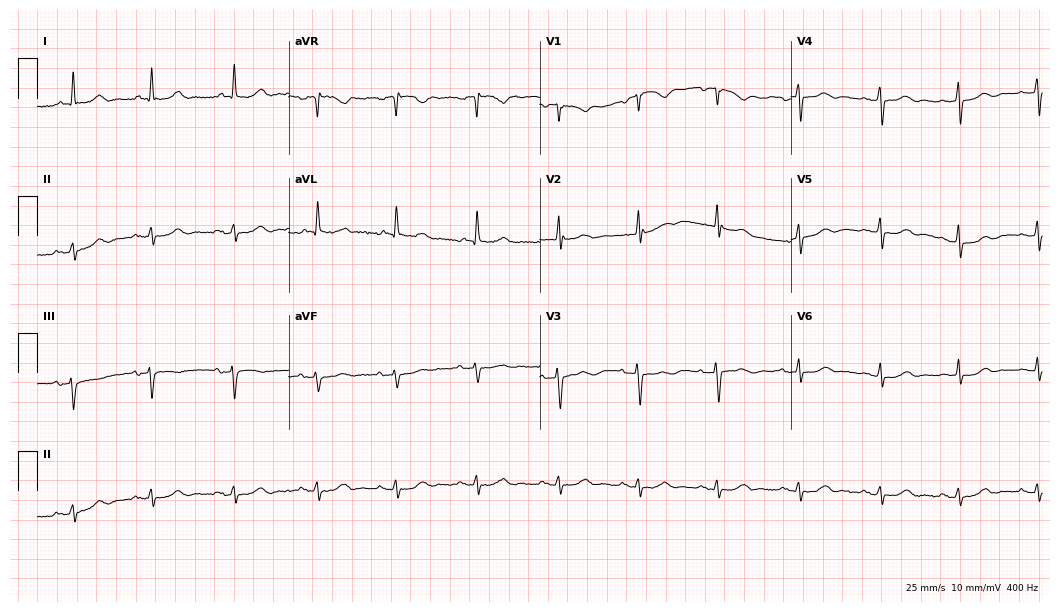
Resting 12-lead electrocardiogram. Patient: a 75-year-old female. None of these six findings is recorded: first-degree AV block, right bundle branch block, left bundle branch block, sinus bradycardia, atrial fibrillation, sinus tachycardia. Only these six findings were labelled.